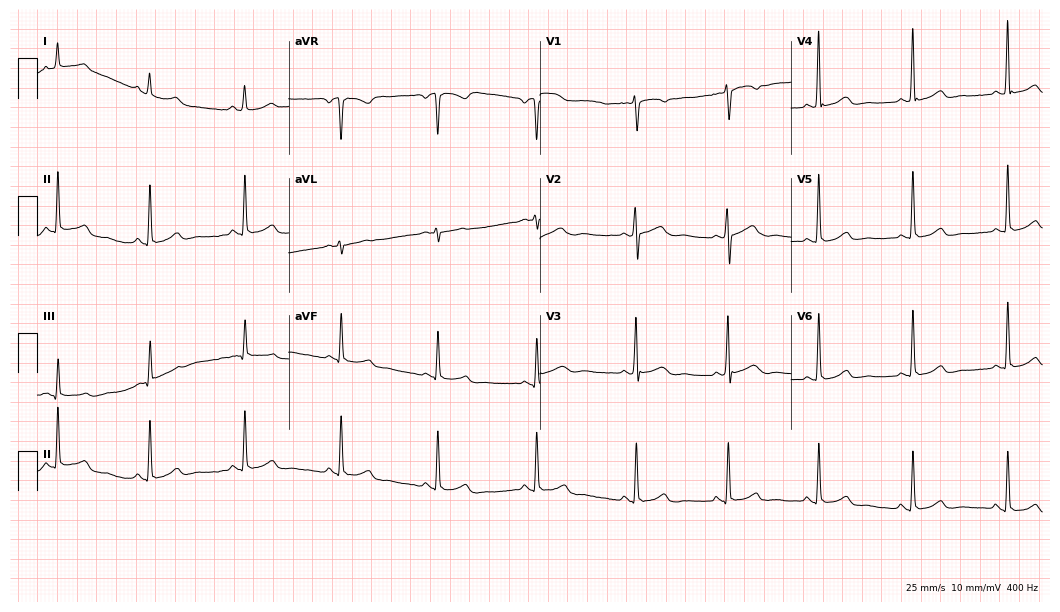
Resting 12-lead electrocardiogram. Patient: a female, 41 years old. Read as a normal ECG.